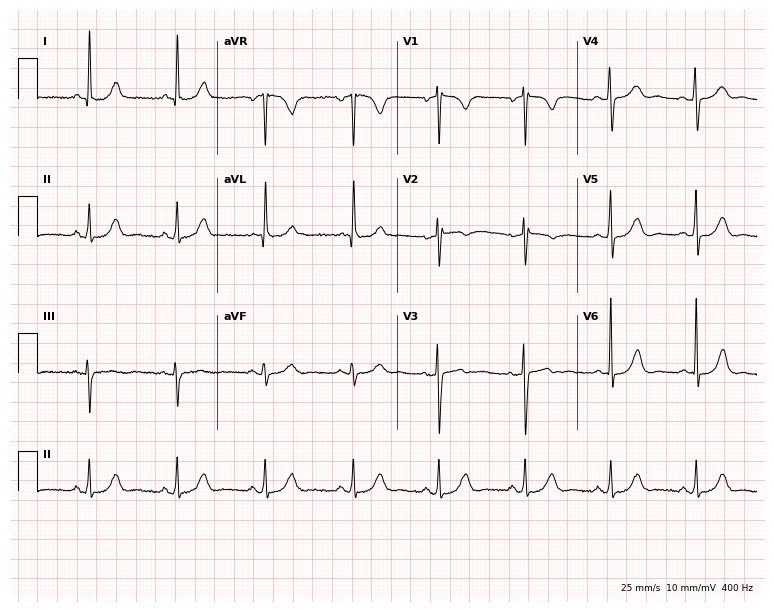
Resting 12-lead electrocardiogram (7.3-second recording at 400 Hz). Patient: a 73-year-old woman. Read as a normal ECG.